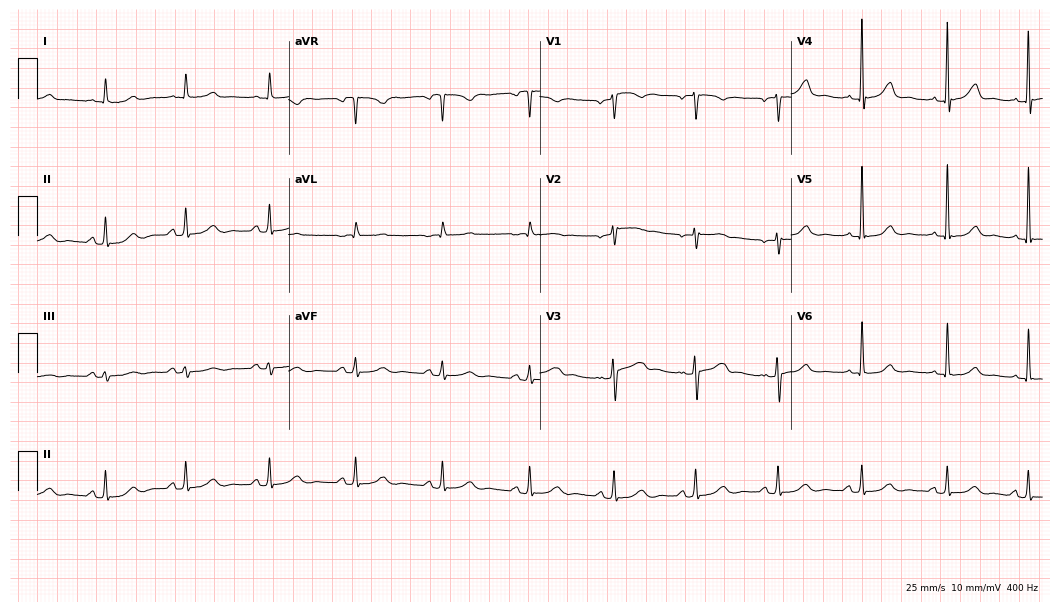
Resting 12-lead electrocardiogram (10.2-second recording at 400 Hz). Patient: a female, 54 years old. None of these six findings is recorded: first-degree AV block, right bundle branch block, left bundle branch block, sinus bradycardia, atrial fibrillation, sinus tachycardia. Other findings, if any, are not listed.